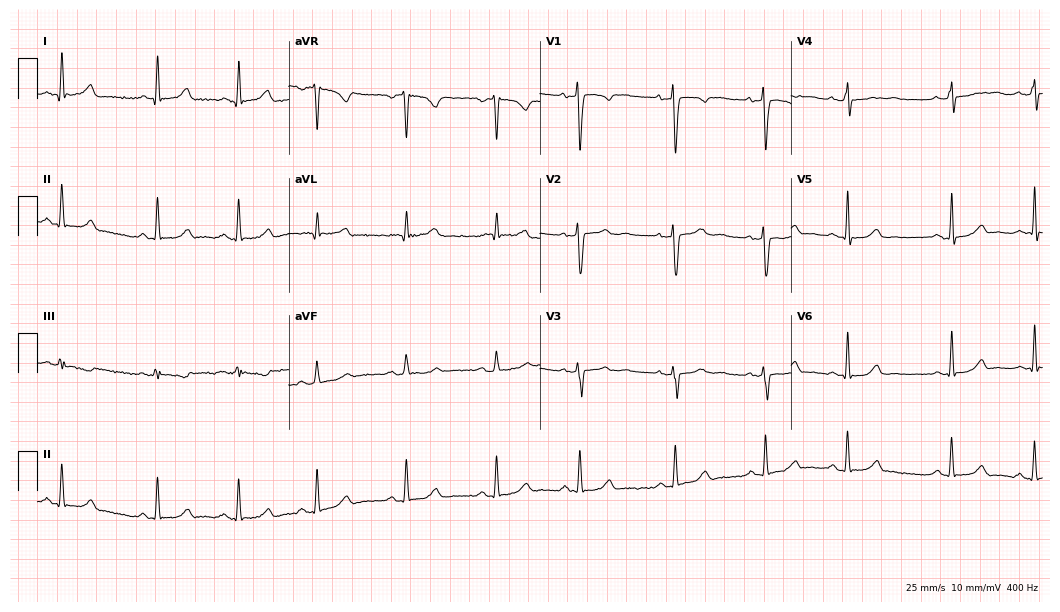
Standard 12-lead ECG recorded from a 39-year-old female. Read as a normal ECG.